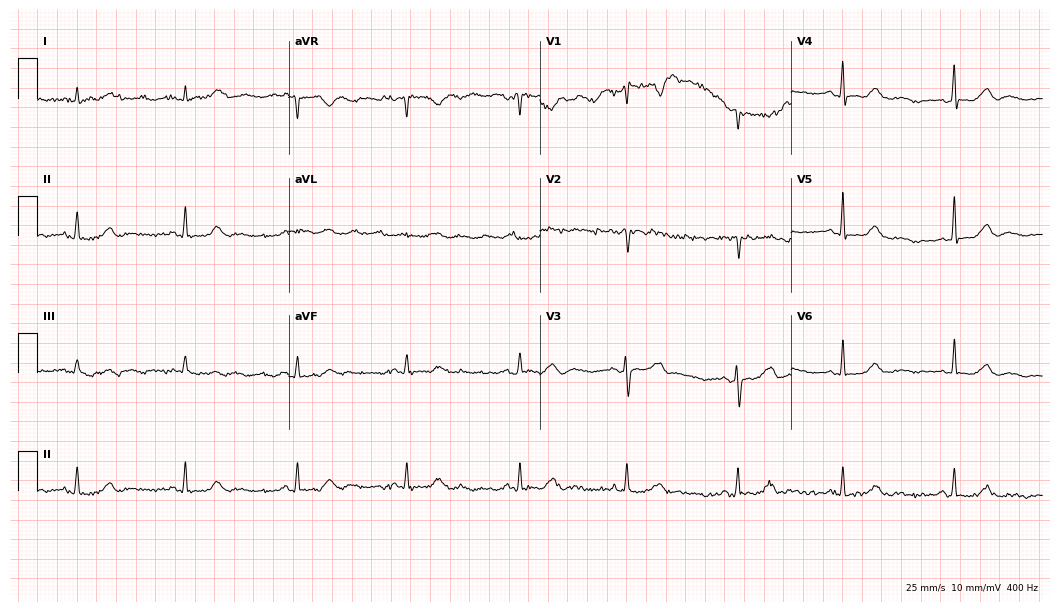
Resting 12-lead electrocardiogram (10.2-second recording at 400 Hz). Patient: a 78-year-old female. None of these six findings is recorded: first-degree AV block, right bundle branch block, left bundle branch block, sinus bradycardia, atrial fibrillation, sinus tachycardia. Findings outside these six are not listed.